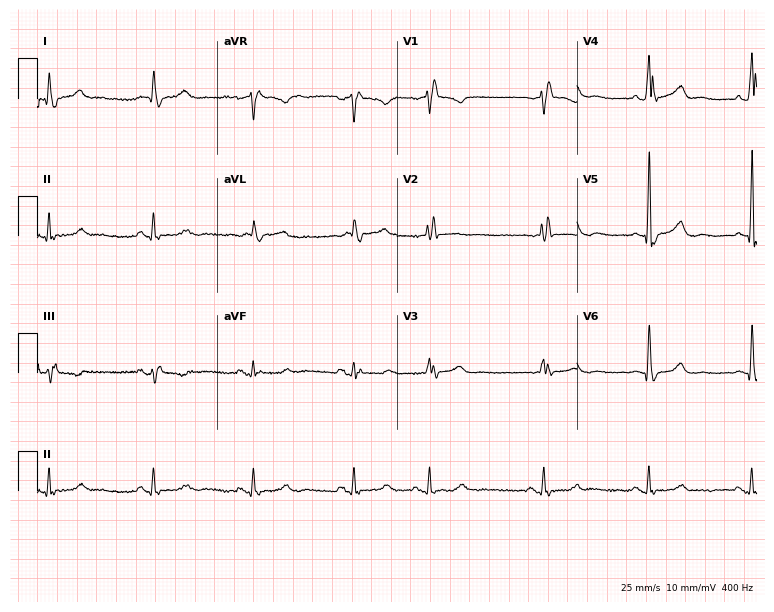
Standard 12-lead ECG recorded from a man, 85 years old. The tracing shows right bundle branch block (RBBB).